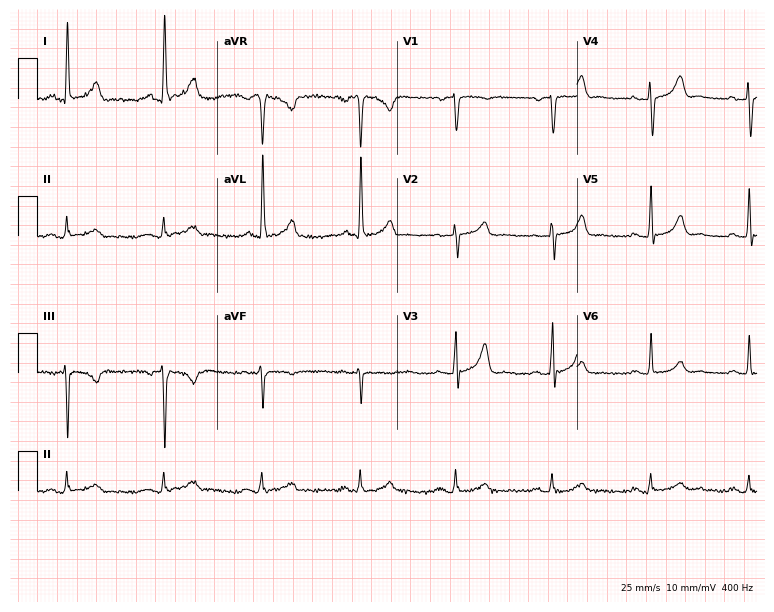
Electrocardiogram (7.3-second recording at 400 Hz), an 83-year-old female patient. Overall reading on record: normal ECG.